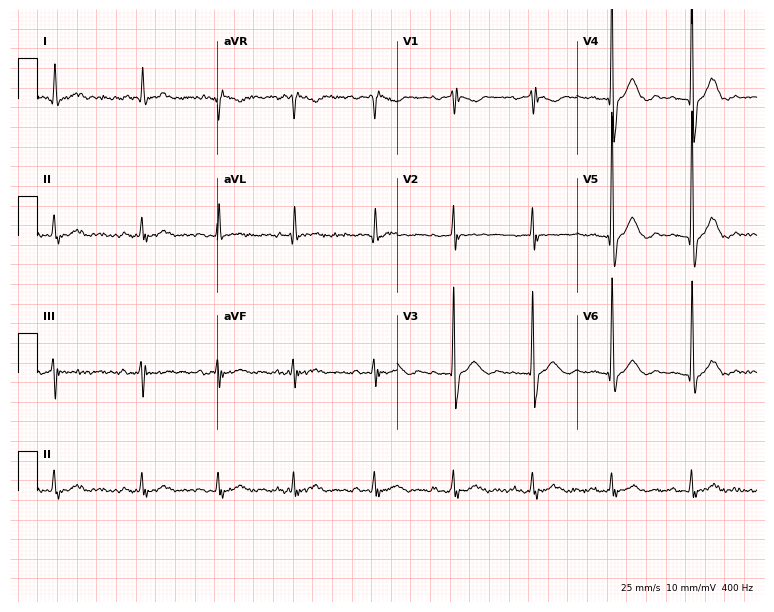
Standard 12-lead ECG recorded from a male, 83 years old (7.3-second recording at 400 Hz). None of these six findings is recorded: first-degree AV block, right bundle branch block (RBBB), left bundle branch block (LBBB), sinus bradycardia, atrial fibrillation (AF), sinus tachycardia.